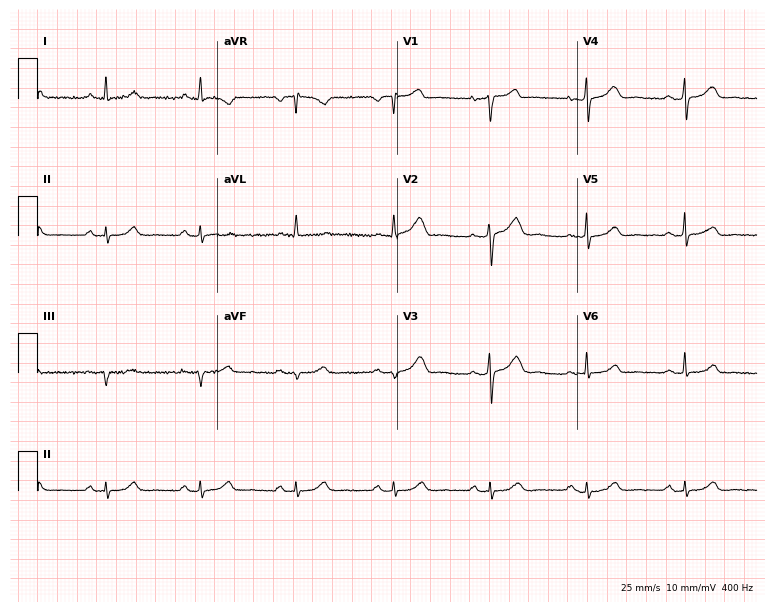
Electrocardiogram (7.3-second recording at 400 Hz), a 50-year-old female patient. Of the six screened findings (first-degree AV block, right bundle branch block (RBBB), left bundle branch block (LBBB), sinus bradycardia, atrial fibrillation (AF), sinus tachycardia), none is recorded. Only these six findings were labelled.